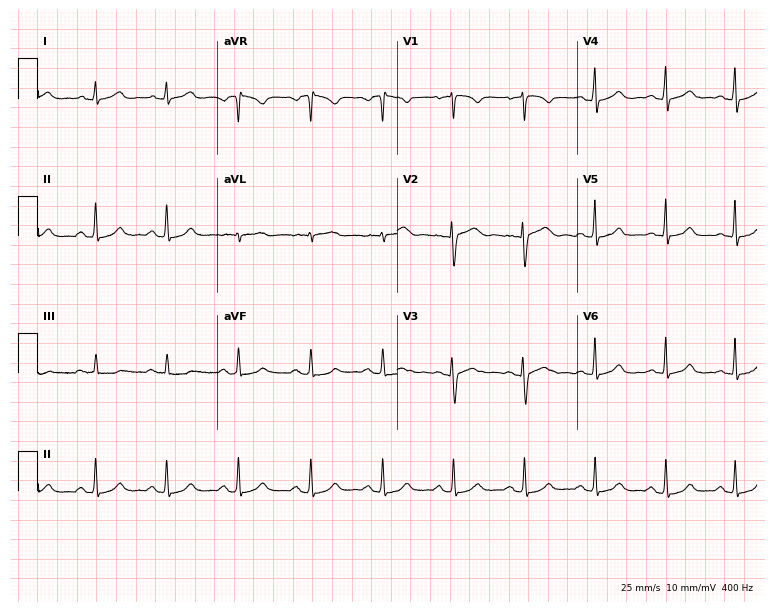
Resting 12-lead electrocardiogram. Patient: a female, 52 years old. Read as a normal ECG.